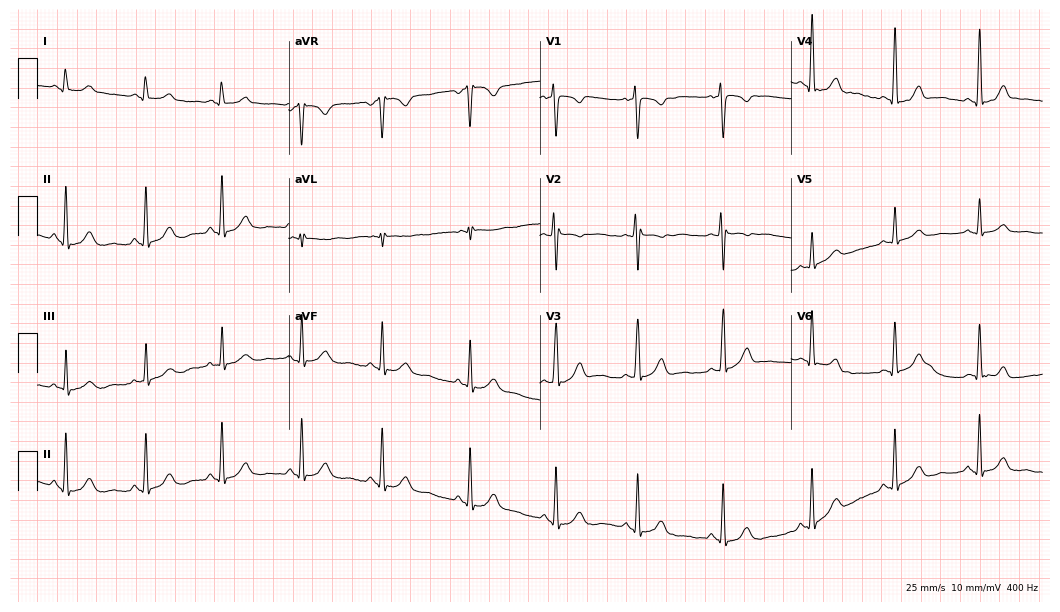
12-lead ECG from a woman, 25 years old. Labelled as a normal ECG.